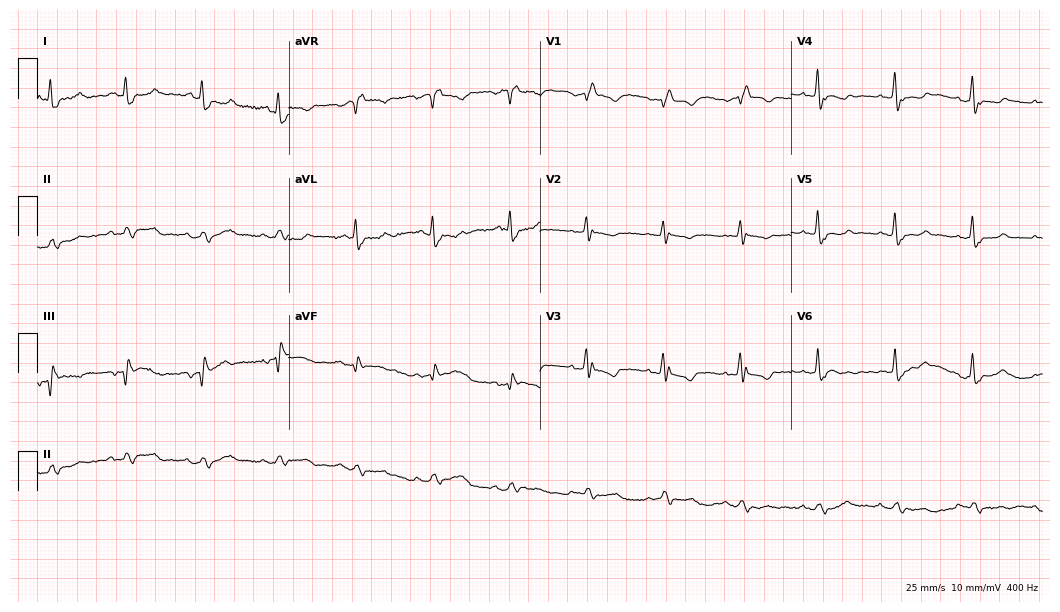
12-lead ECG from a 79-year-old female. Findings include right bundle branch block.